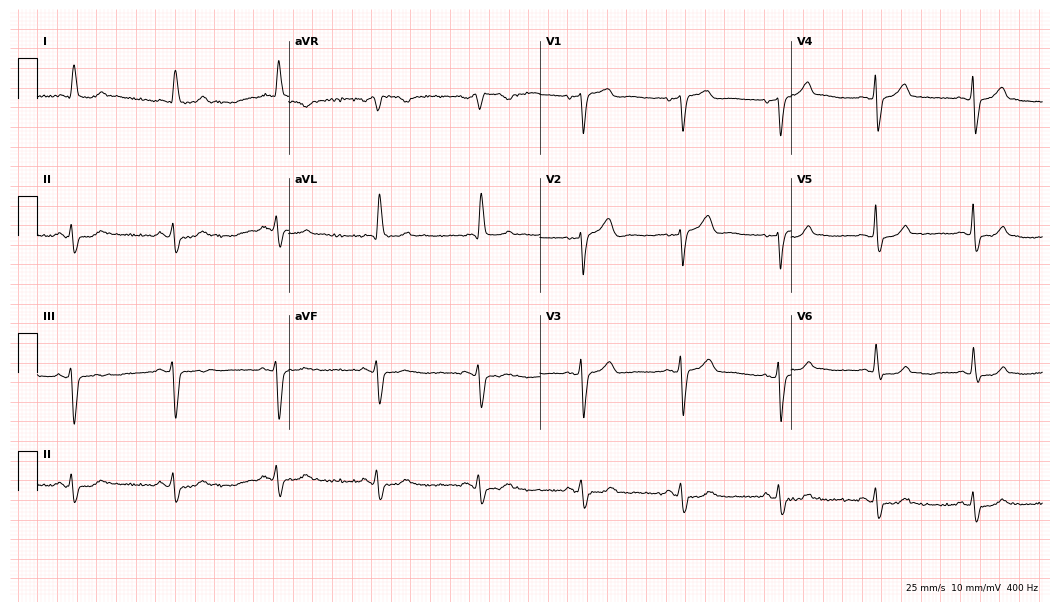
Resting 12-lead electrocardiogram. Patient: a male, 71 years old. None of these six findings is recorded: first-degree AV block, right bundle branch block, left bundle branch block, sinus bradycardia, atrial fibrillation, sinus tachycardia.